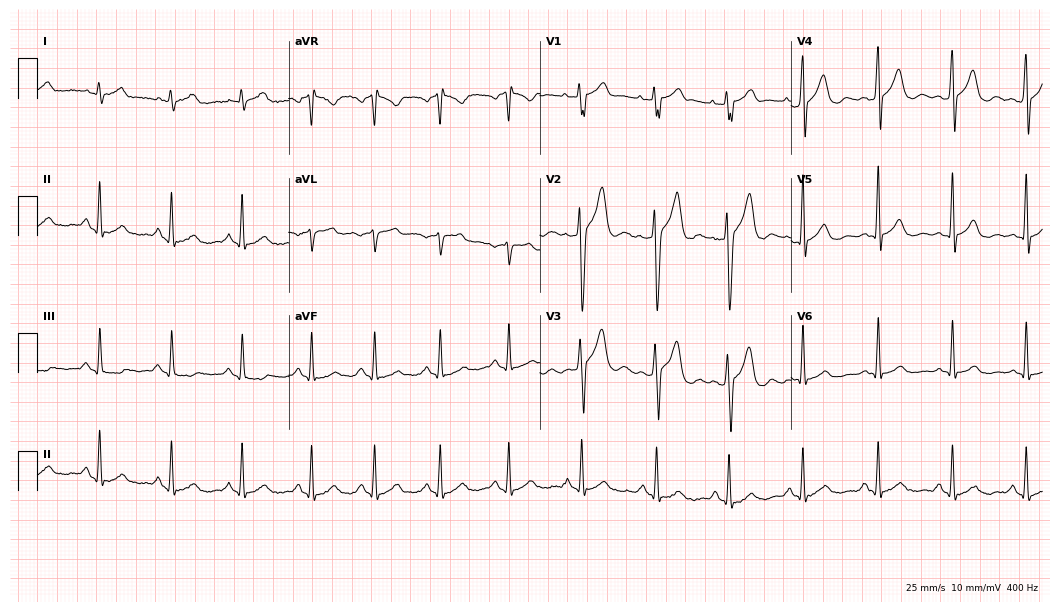
Standard 12-lead ECG recorded from a male, 33 years old. Read as a normal ECG.